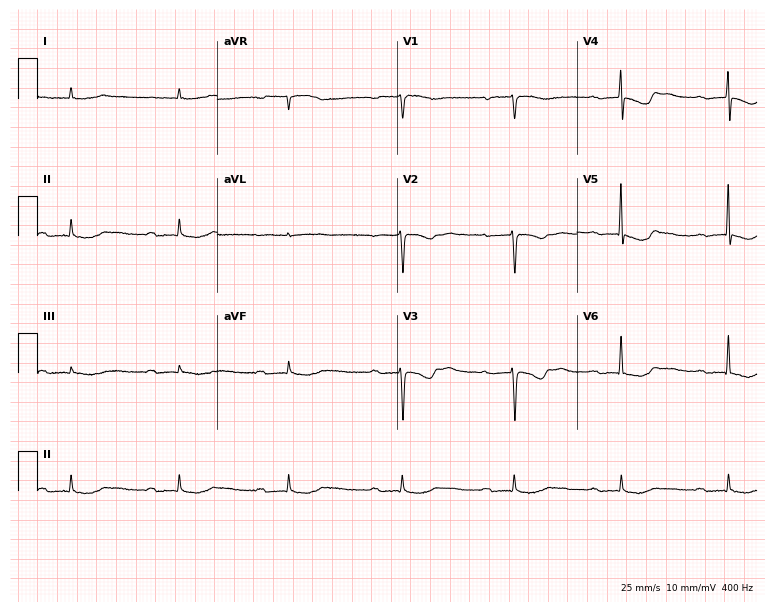
12-lead ECG from an 81-year-old woman (7.3-second recording at 400 Hz). Shows first-degree AV block.